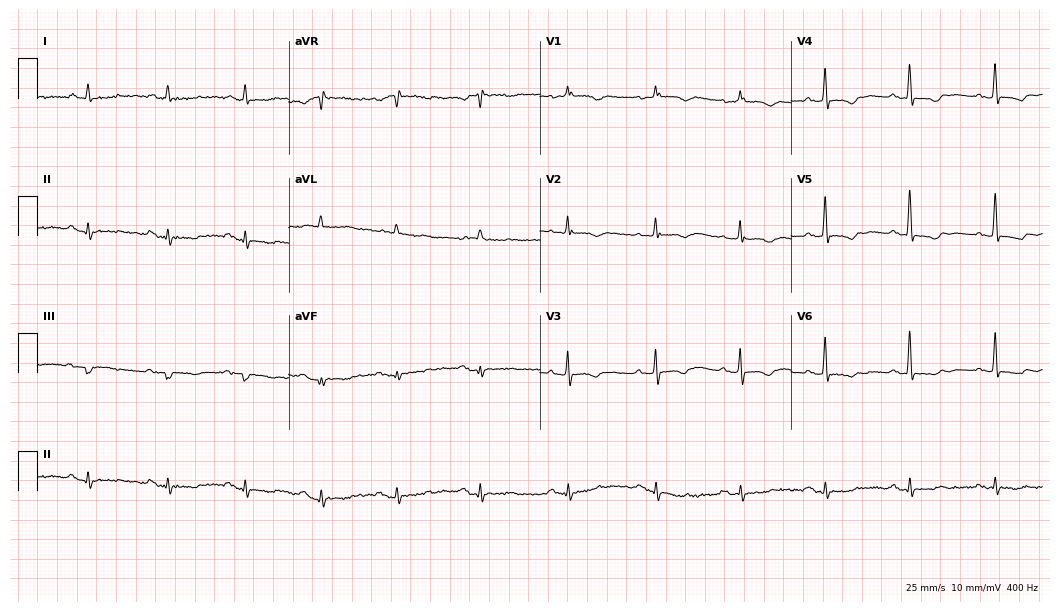
Electrocardiogram, a 69-year-old female patient. Of the six screened findings (first-degree AV block, right bundle branch block, left bundle branch block, sinus bradycardia, atrial fibrillation, sinus tachycardia), none is recorded.